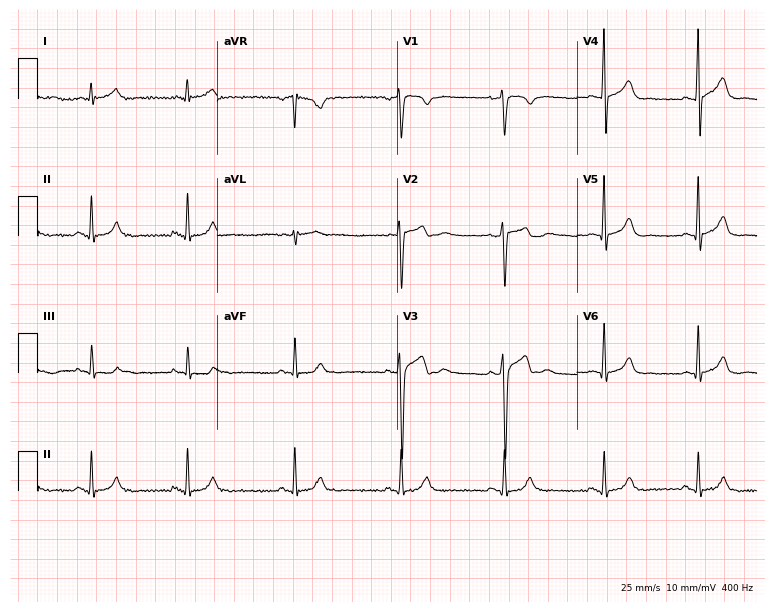
Electrocardiogram, a 30-year-old man. Overall reading on record: normal ECG.